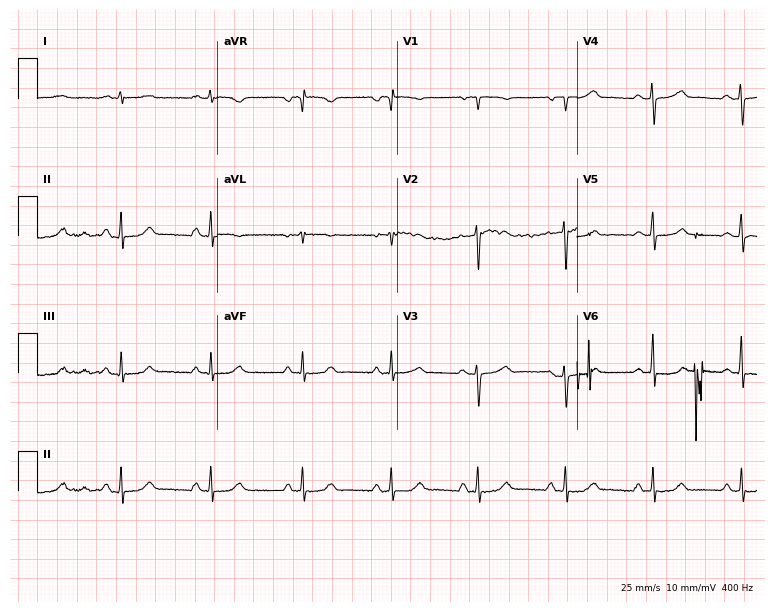
Standard 12-lead ECG recorded from a 45-year-old female patient. Read as a normal ECG.